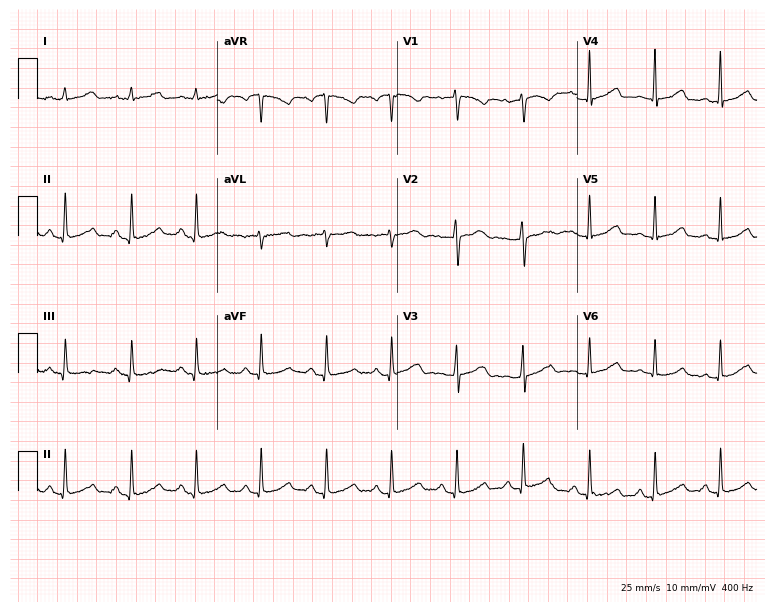
12-lead ECG from a 30-year-old female. Screened for six findings — first-degree AV block, right bundle branch block, left bundle branch block, sinus bradycardia, atrial fibrillation, sinus tachycardia — none is recorded. Other findings, if any, are not listed.